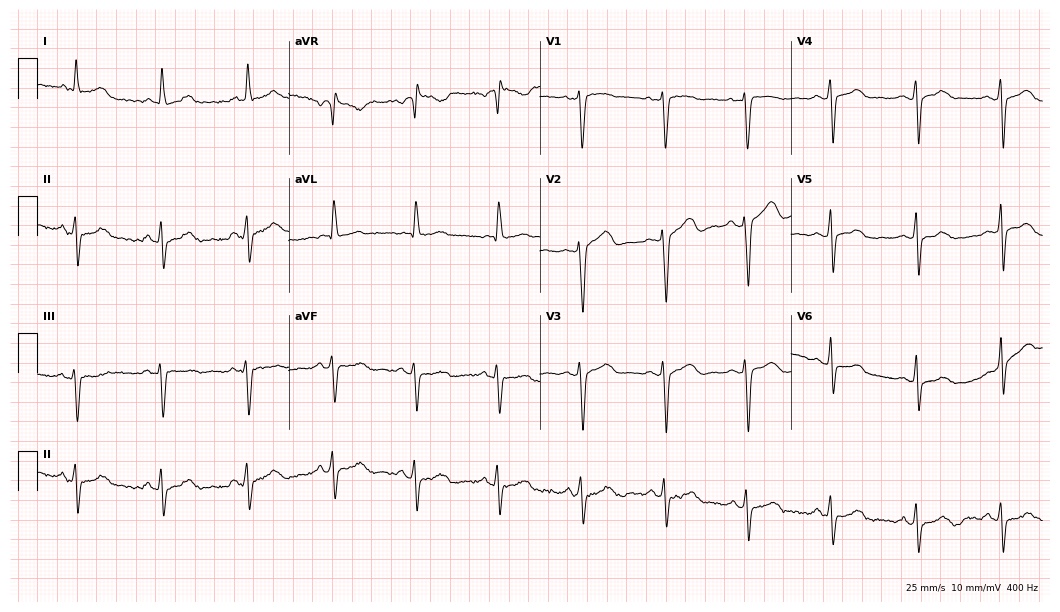
ECG (10.2-second recording at 400 Hz) — a woman, 34 years old. Screened for six findings — first-degree AV block, right bundle branch block, left bundle branch block, sinus bradycardia, atrial fibrillation, sinus tachycardia — none is recorded.